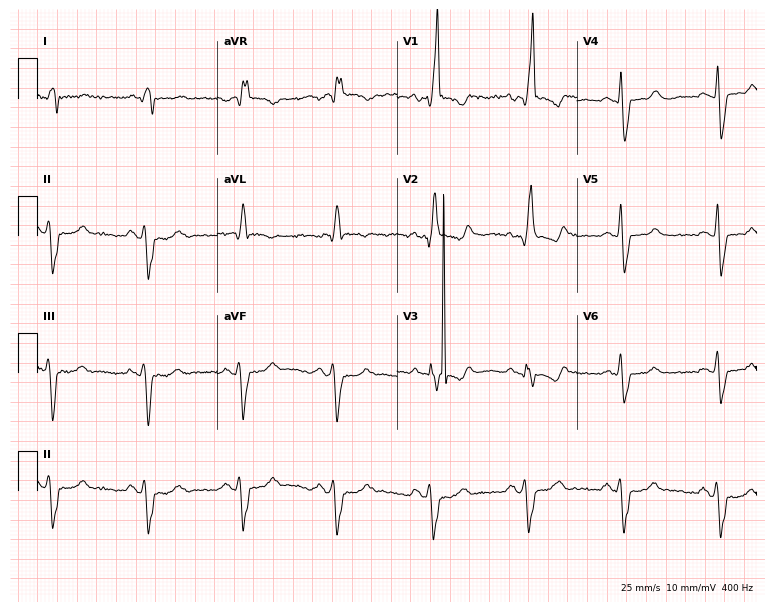
12-lead ECG from a man, 63 years old. Shows right bundle branch block.